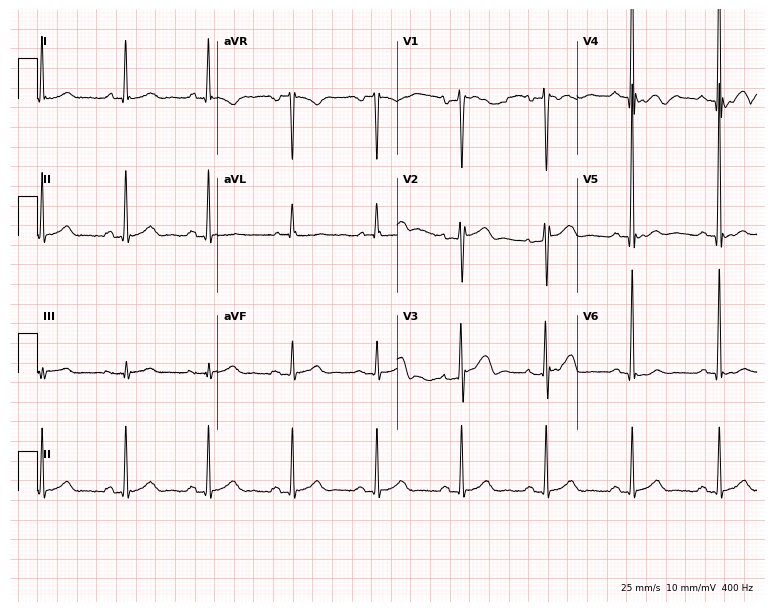
12-lead ECG from a man, 72 years old. No first-degree AV block, right bundle branch block, left bundle branch block, sinus bradycardia, atrial fibrillation or sinus tachycardia recorded for this tracing. Other findings, if any, are not listed.